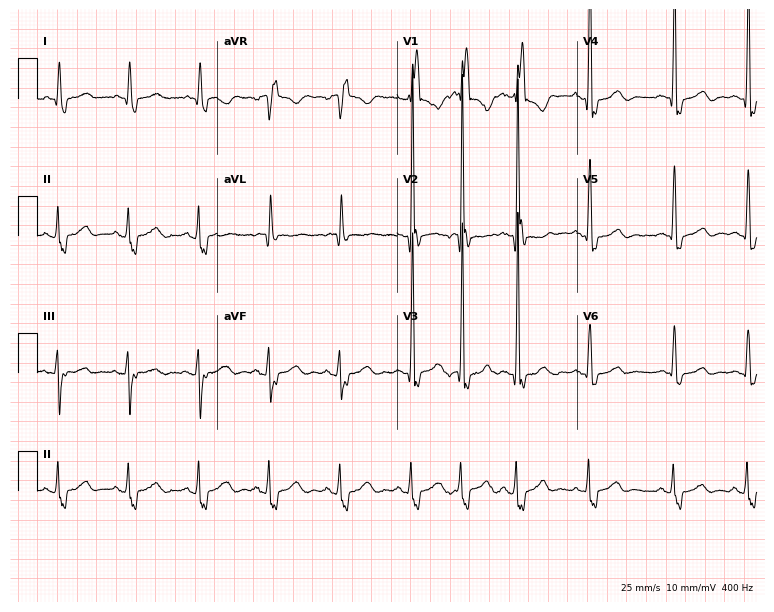
Electrocardiogram, an 89-year-old male. Interpretation includes right bundle branch block (RBBB).